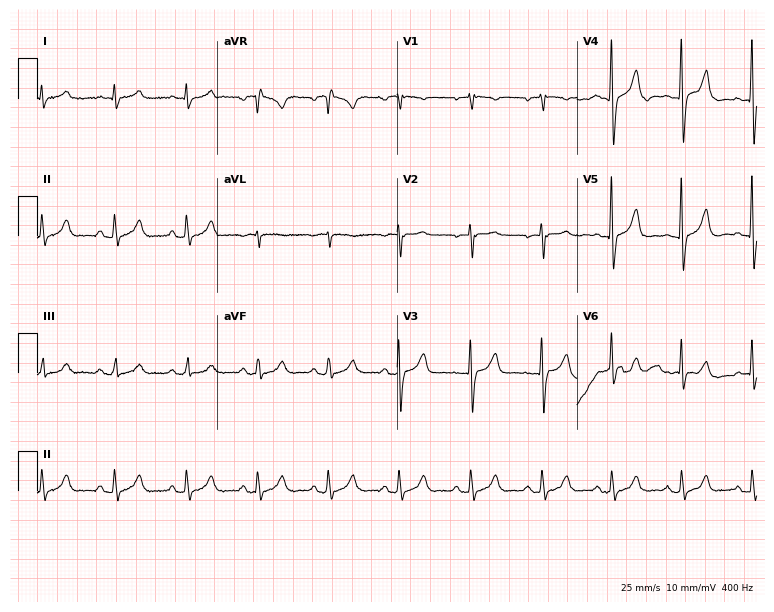
12-lead ECG from a 74-year-old man (7.3-second recording at 400 Hz). No first-degree AV block, right bundle branch block, left bundle branch block, sinus bradycardia, atrial fibrillation or sinus tachycardia recorded for this tracing. Findings outside these six are not listed.